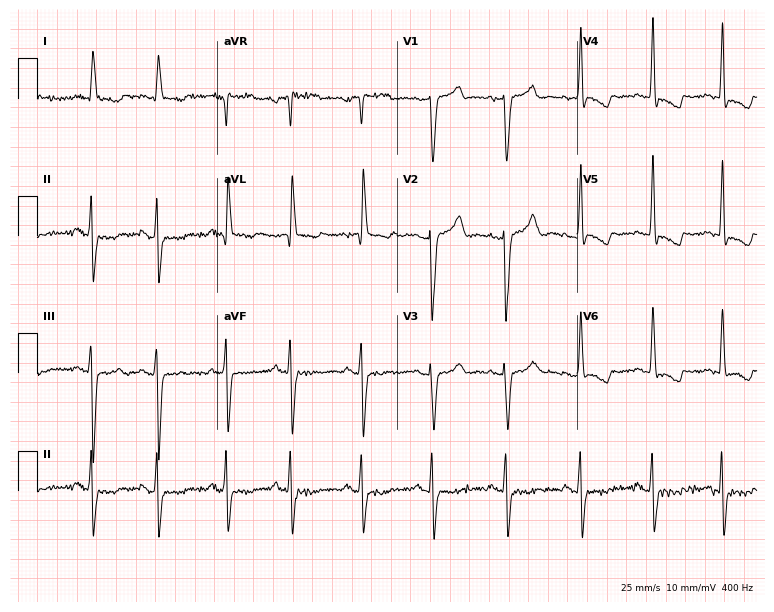
Electrocardiogram (7.3-second recording at 400 Hz), a 72-year-old female patient. Of the six screened findings (first-degree AV block, right bundle branch block, left bundle branch block, sinus bradycardia, atrial fibrillation, sinus tachycardia), none is recorded. Findings outside these six are not listed.